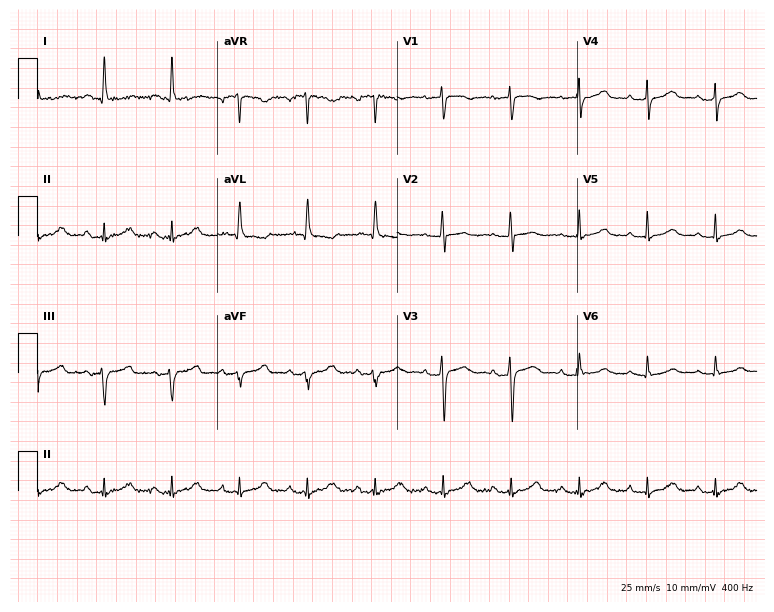
Resting 12-lead electrocardiogram. Patient: a woman, 85 years old. Read as a normal ECG.